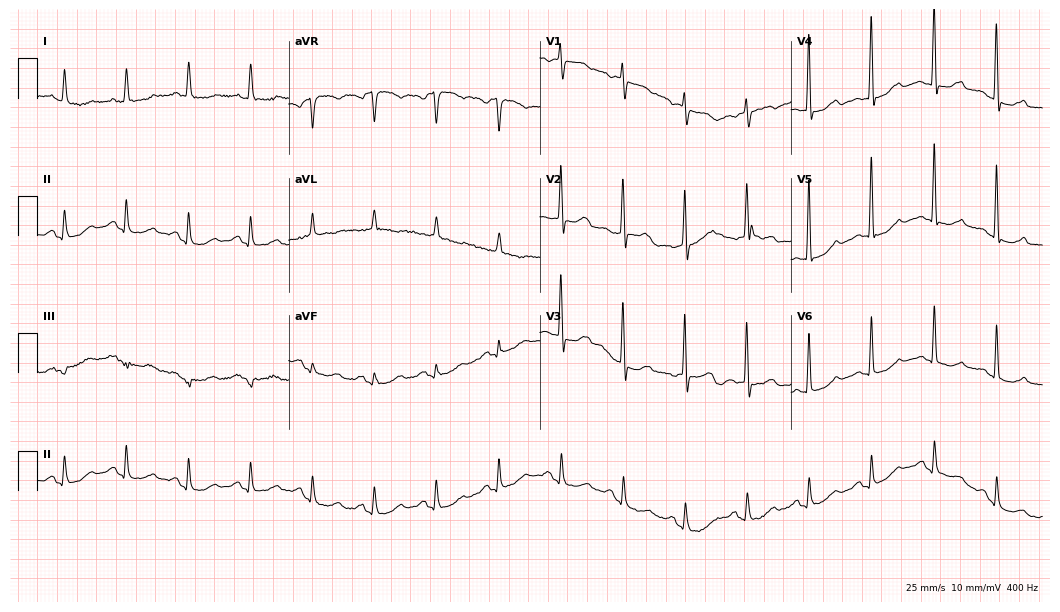
12-lead ECG (10.2-second recording at 400 Hz) from a woman, 78 years old. Screened for six findings — first-degree AV block, right bundle branch block, left bundle branch block, sinus bradycardia, atrial fibrillation, sinus tachycardia — none is recorded. Only these six findings were labelled.